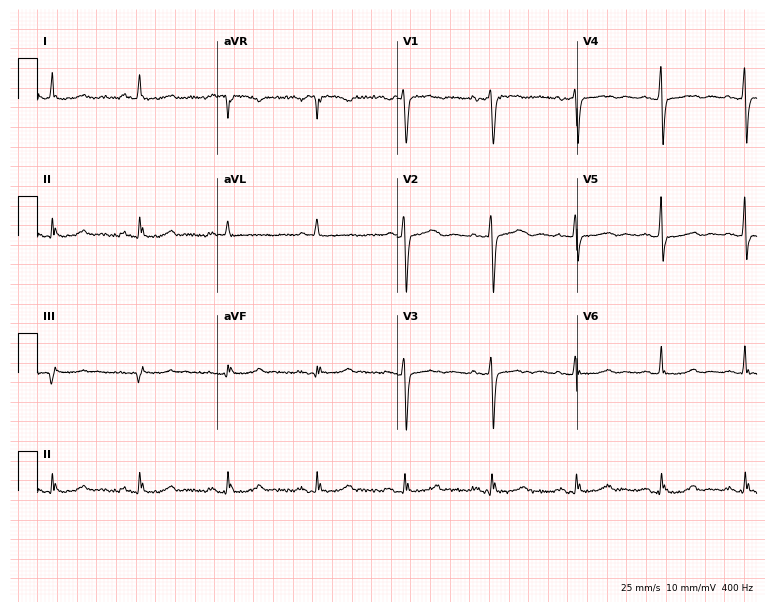
12-lead ECG from a female patient, 57 years old. Labelled as a normal ECG.